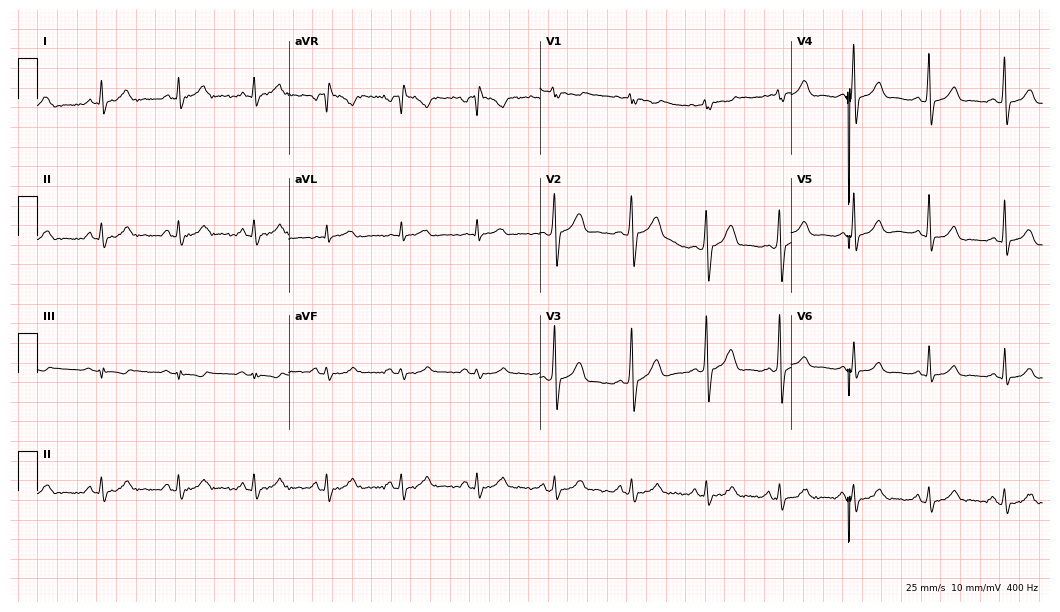
12-lead ECG from a 50-year-old male. Recorded interpretation: within normal limits.